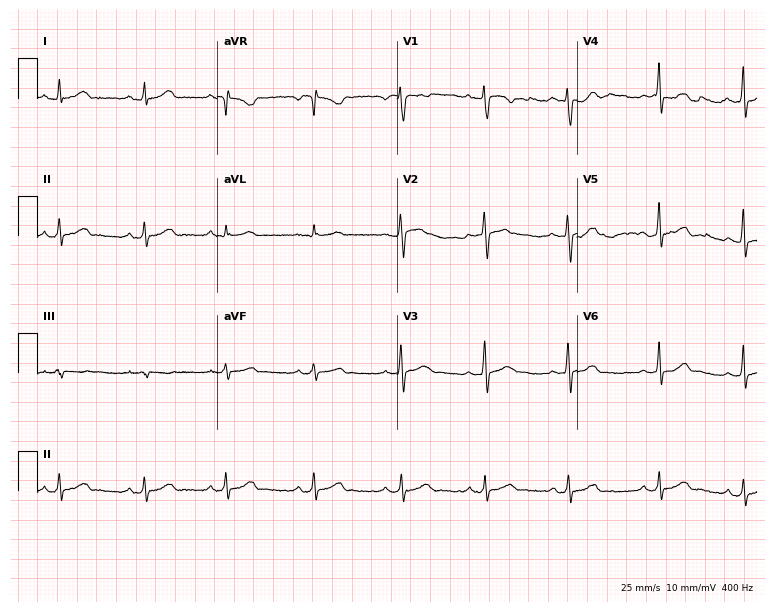
Resting 12-lead electrocardiogram (7.3-second recording at 400 Hz). Patient: a 24-year-old female. Read as a normal ECG.